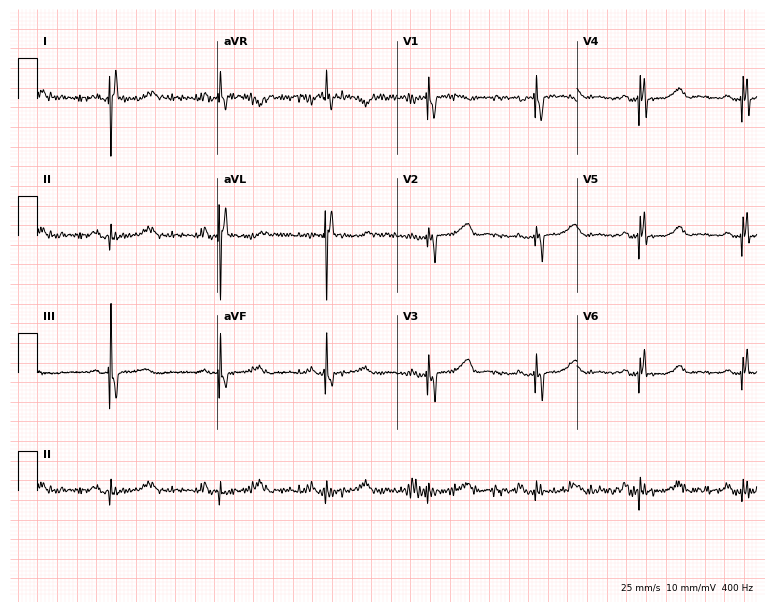
Electrocardiogram (7.3-second recording at 400 Hz), a female patient, 56 years old. Of the six screened findings (first-degree AV block, right bundle branch block, left bundle branch block, sinus bradycardia, atrial fibrillation, sinus tachycardia), none is recorded. Findings outside these six are not listed.